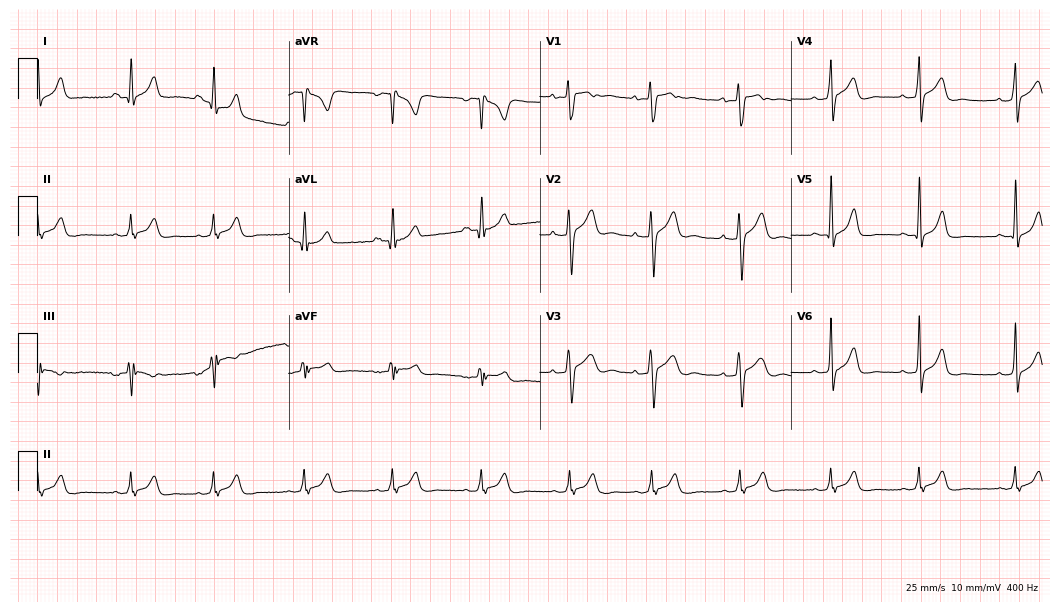
ECG — a 20-year-old man. Labelled as a normal ECG.